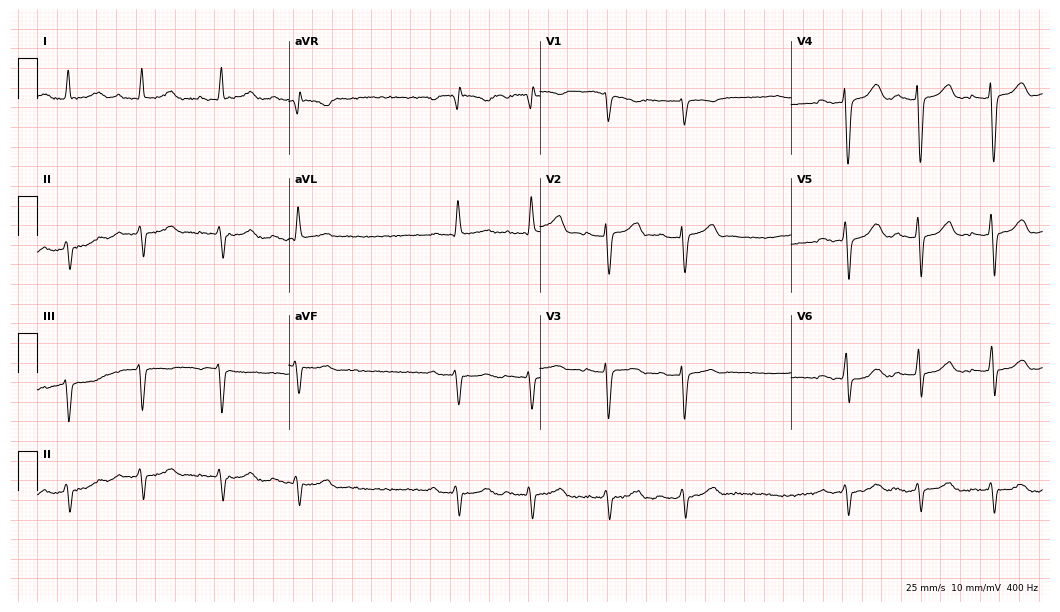
12-lead ECG from a 78-year-old man. Screened for six findings — first-degree AV block, right bundle branch block, left bundle branch block, sinus bradycardia, atrial fibrillation, sinus tachycardia — none is recorded. Findings outside these six are not listed.